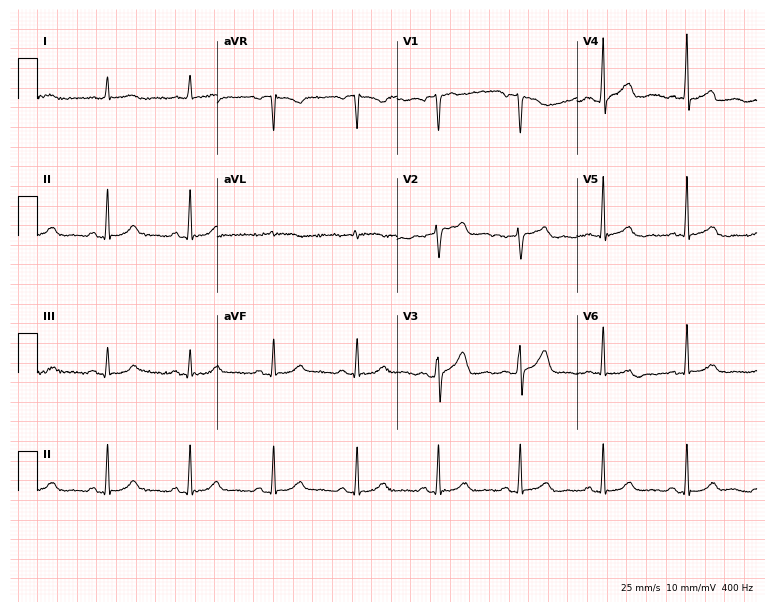
ECG (7.3-second recording at 400 Hz) — a female, 79 years old. Labelled as a normal ECG.